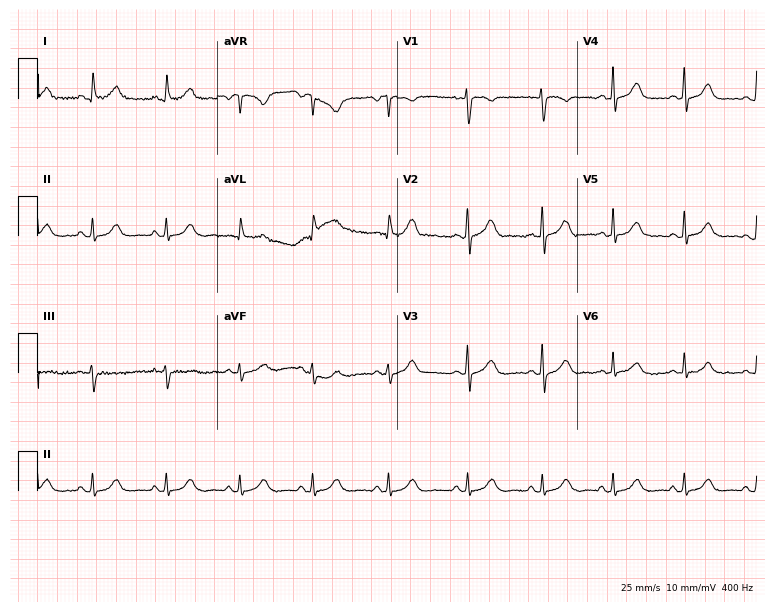
12-lead ECG from a female, 32 years old. Screened for six findings — first-degree AV block, right bundle branch block (RBBB), left bundle branch block (LBBB), sinus bradycardia, atrial fibrillation (AF), sinus tachycardia — none is recorded. Only these six findings were labelled.